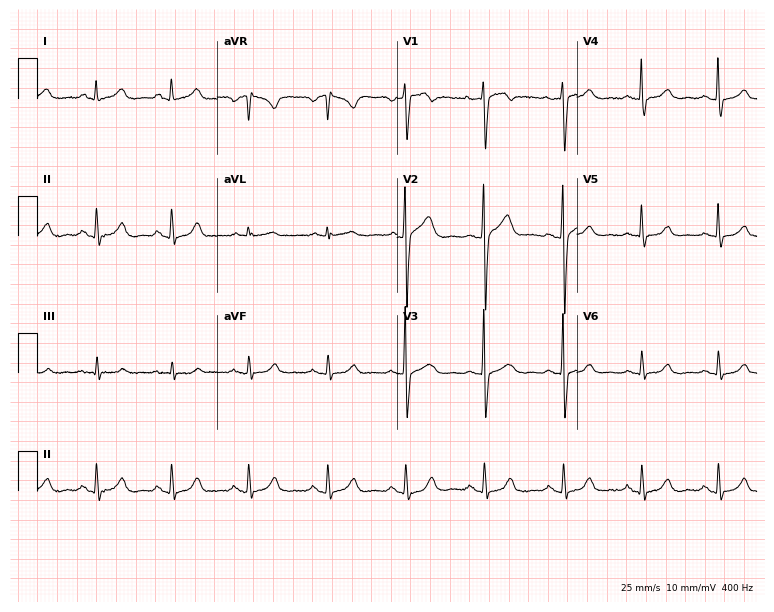
Standard 12-lead ECG recorded from a 52-year-old female patient (7.3-second recording at 400 Hz). Read as a normal ECG.